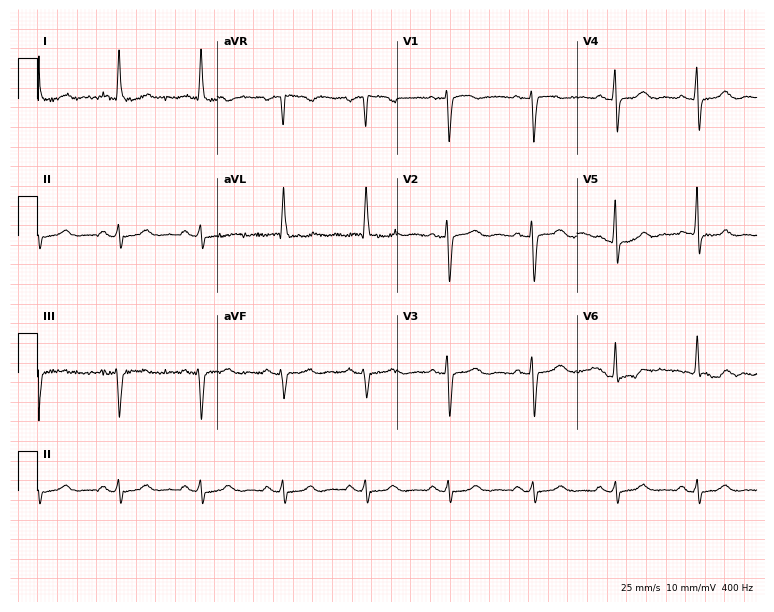
Standard 12-lead ECG recorded from a woman, 66 years old. None of these six findings is recorded: first-degree AV block, right bundle branch block, left bundle branch block, sinus bradycardia, atrial fibrillation, sinus tachycardia.